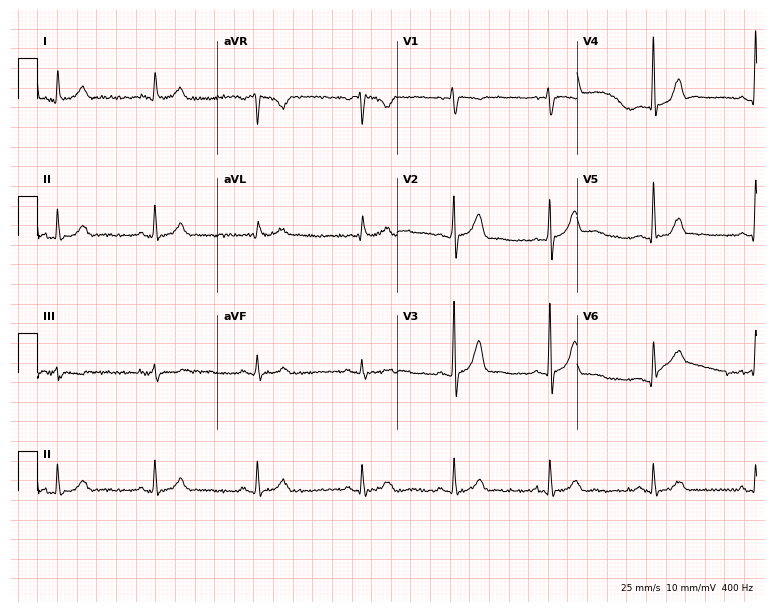
Resting 12-lead electrocardiogram (7.3-second recording at 400 Hz). Patient: a 37-year-old male. Read as a normal ECG.